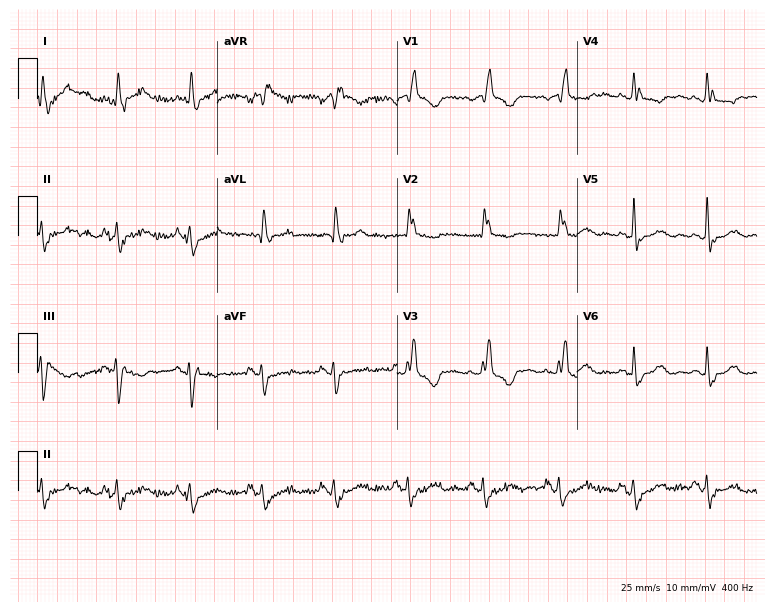
ECG — a woman, 80 years old. Screened for six findings — first-degree AV block, right bundle branch block, left bundle branch block, sinus bradycardia, atrial fibrillation, sinus tachycardia — none is recorded.